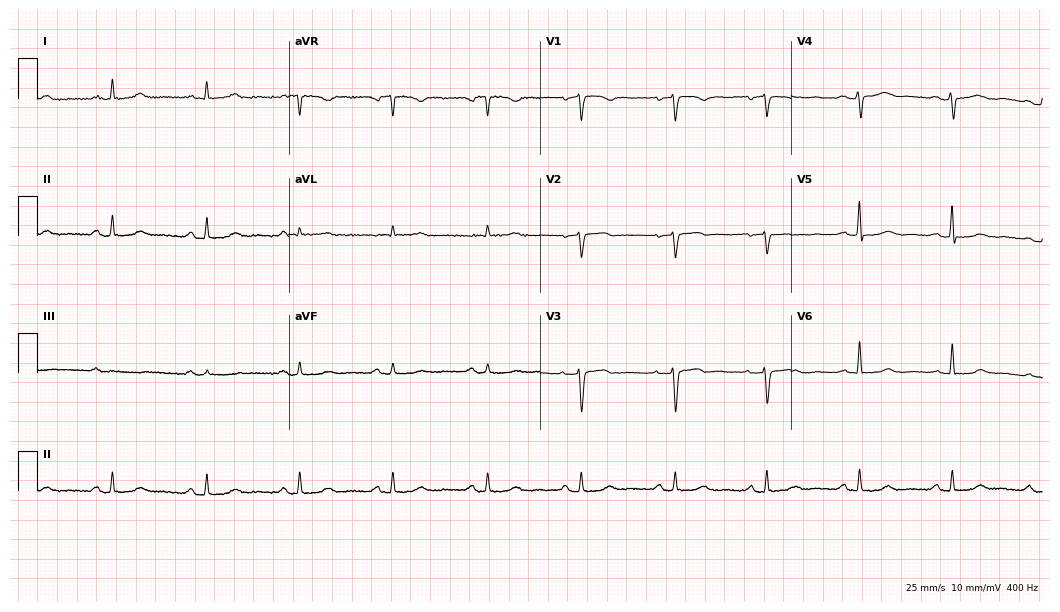
12-lead ECG (10.2-second recording at 400 Hz) from a 65-year-old female. Labelled as a normal ECG.